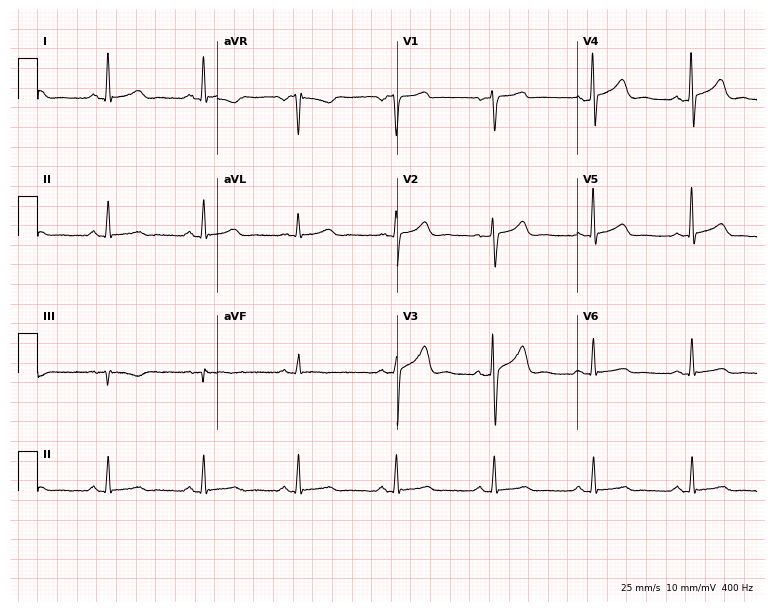
12-lead ECG from a 48-year-old female patient (7.3-second recording at 400 Hz). No first-degree AV block, right bundle branch block (RBBB), left bundle branch block (LBBB), sinus bradycardia, atrial fibrillation (AF) or sinus tachycardia recorded for this tracing.